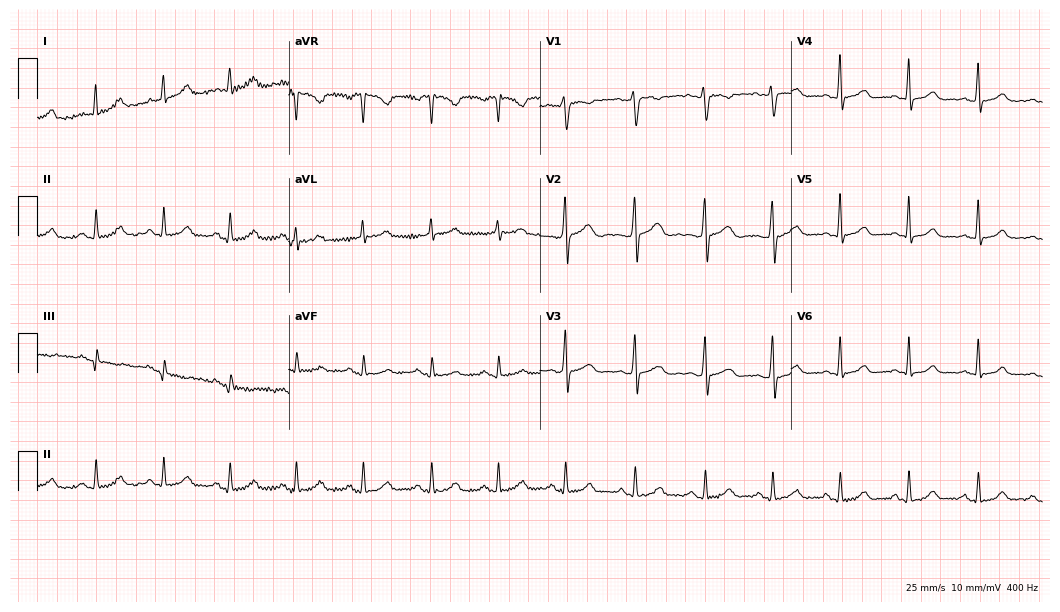
ECG (10.2-second recording at 400 Hz) — a female patient, 43 years old. Labelled as a normal ECG.